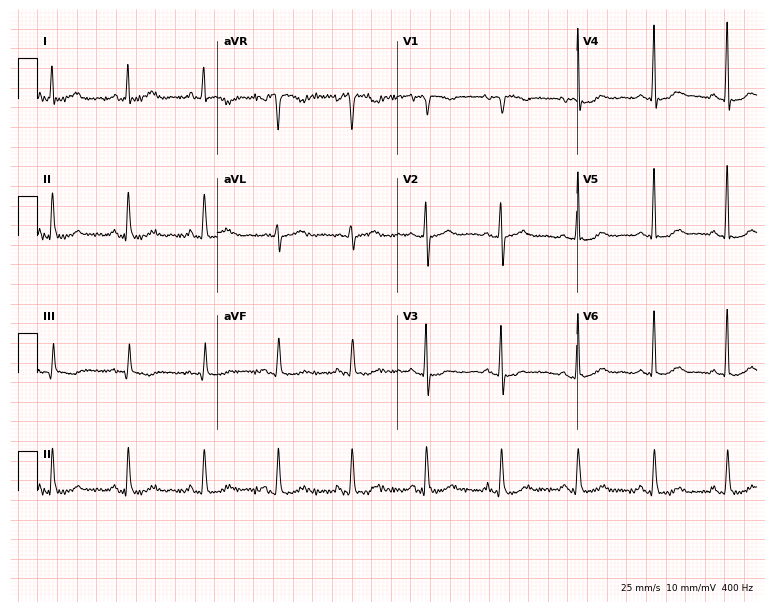
ECG (7.3-second recording at 400 Hz) — a woman, 60 years old. Screened for six findings — first-degree AV block, right bundle branch block (RBBB), left bundle branch block (LBBB), sinus bradycardia, atrial fibrillation (AF), sinus tachycardia — none is recorded.